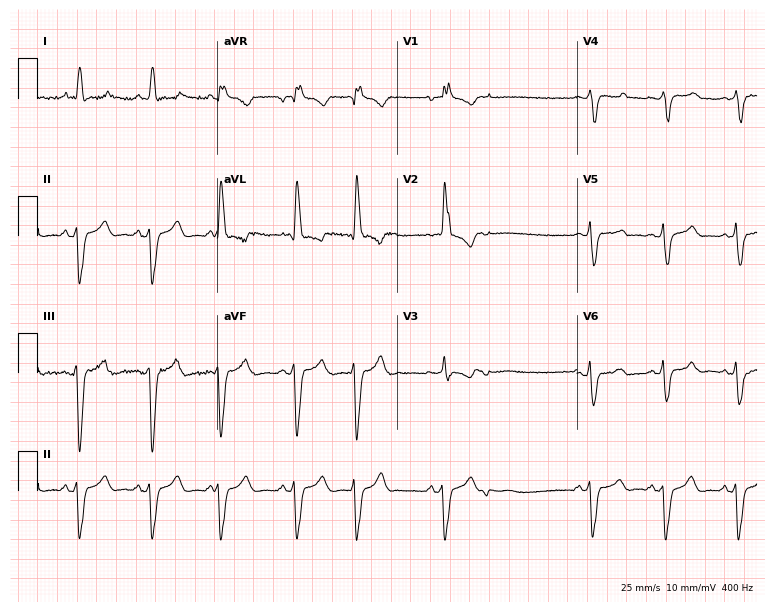
Electrocardiogram (7.3-second recording at 400 Hz), a 44-year-old woman. Interpretation includes right bundle branch block (RBBB).